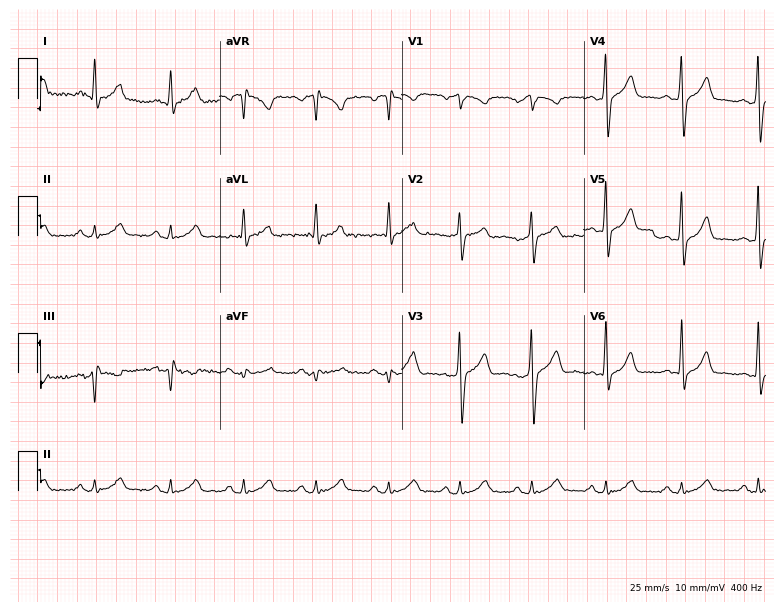
Electrocardiogram (7.4-second recording at 400 Hz), a man, 41 years old. Of the six screened findings (first-degree AV block, right bundle branch block (RBBB), left bundle branch block (LBBB), sinus bradycardia, atrial fibrillation (AF), sinus tachycardia), none is recorded.